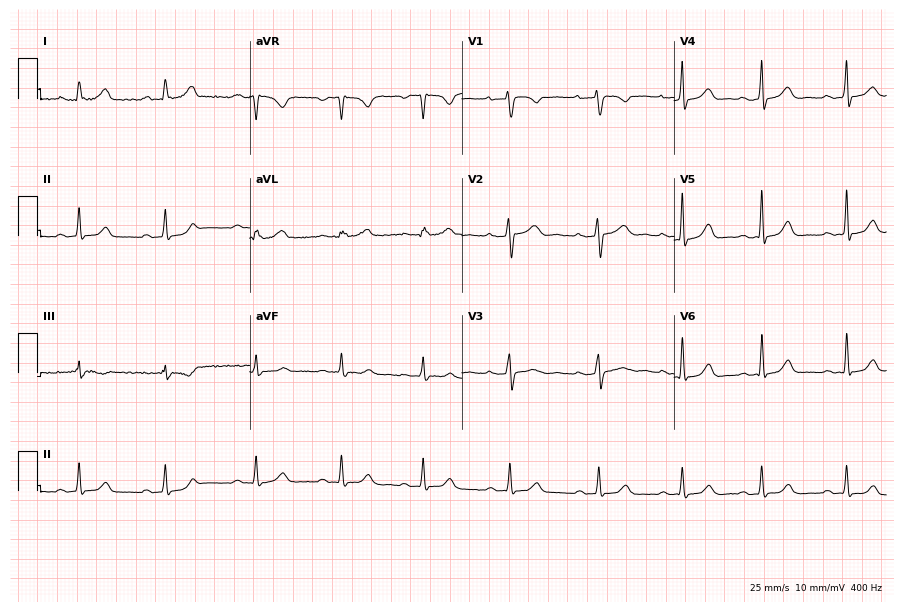
Resting 12-lead electrocardiogram. Patient: a female, 33 years old. Read as a normal ECG.